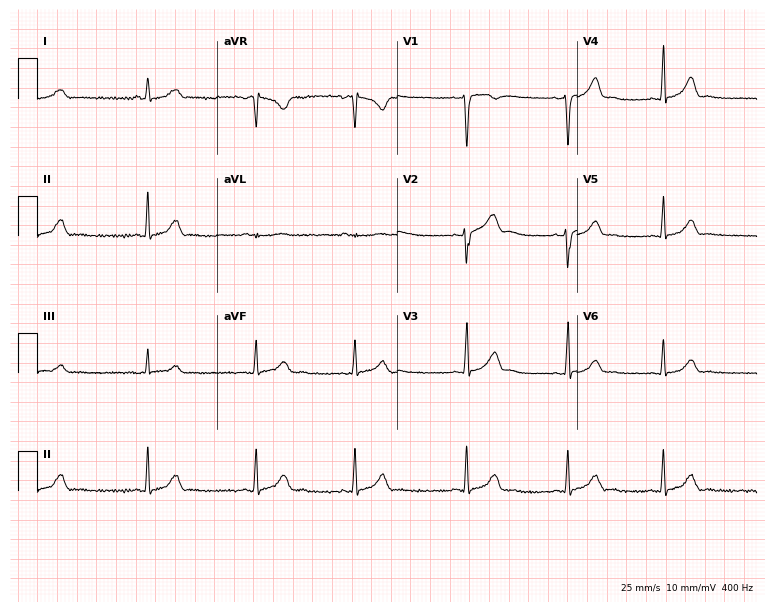
12-lead ECG from a female patient, 23 years old (7.3-second recording at 400 Hz). Recorded interpretation: within normal limits.